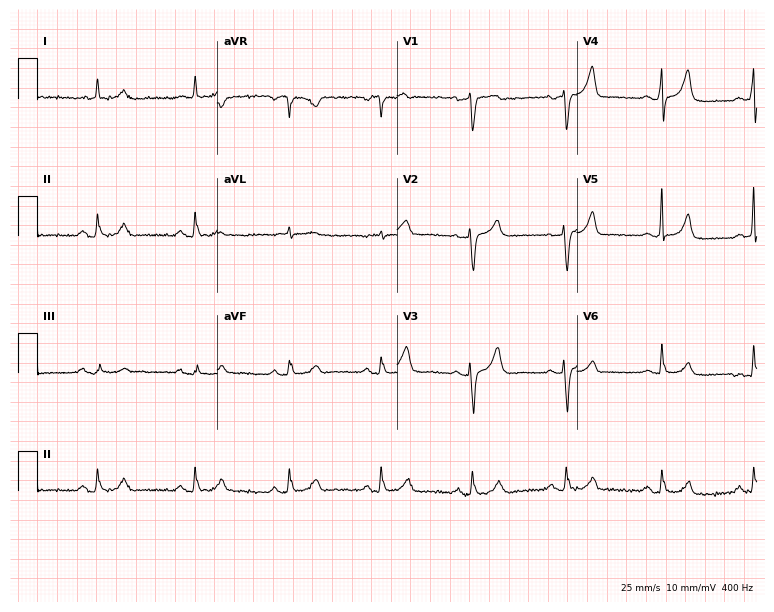
Standard 12-lead ECG recorded from a 63-year-old female patient (7.3-second recording at 400 Hz). Read as a normal ECG.